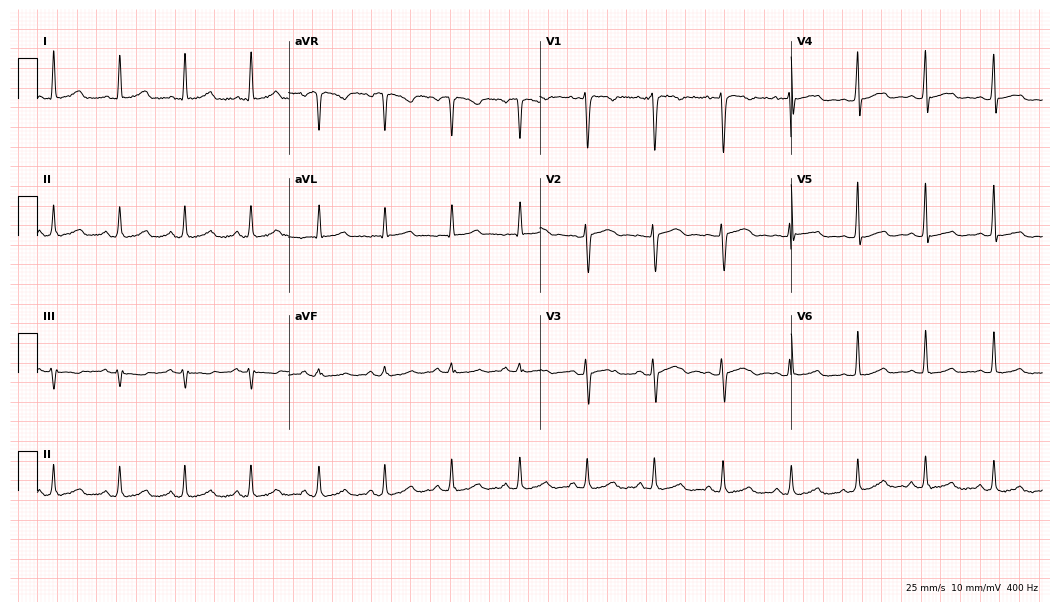
12-lead ECG (10.2-second recording at 400 Hz) from a 45-year-old female. Labelled as a normal ECG.